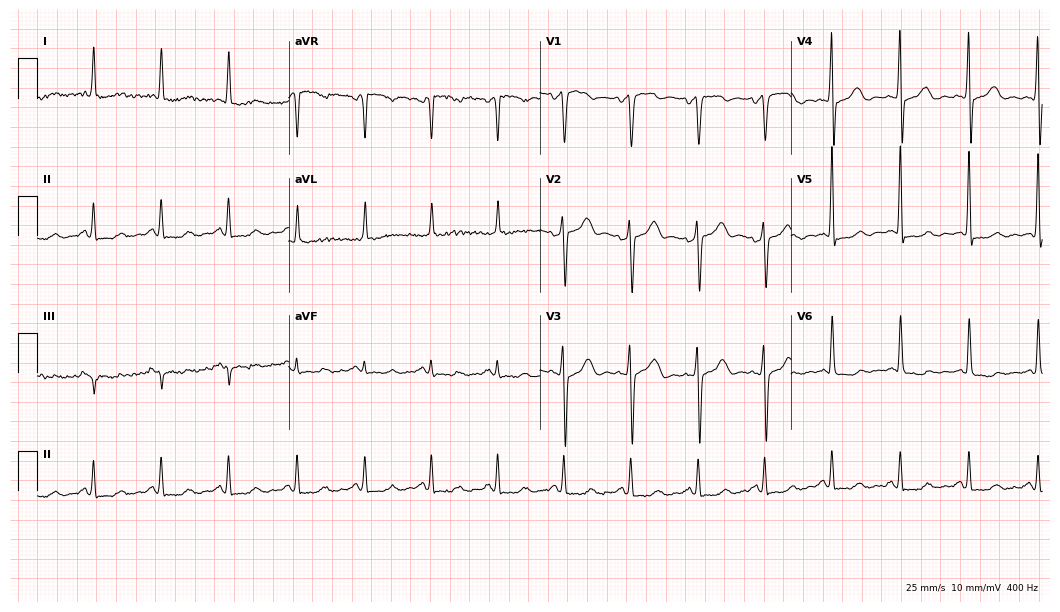
Standard 12-lead ECG recorded from a 70-year-old man (10.2-second recording at 400 Hz). None of these six findings is recorded: first-degree AV block, right bundle branch block, left bundle branch block, sinus bradycardia, atrial fibrillation, sinus tachycardia. Only these six findings were labelled.